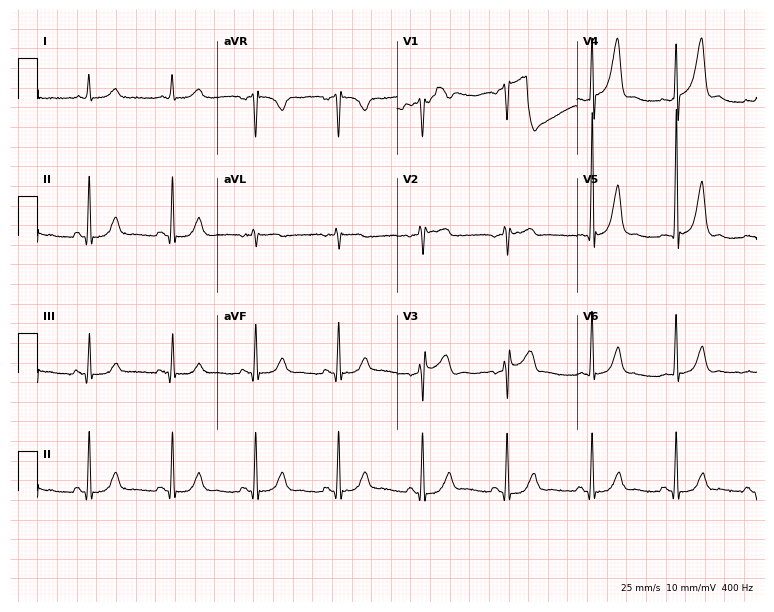
12-lead ECG from a male patient, 62 years old (7.3-second recording at 400 Hz). No first-degree AV block, right bundle branch block (RBBB), left bundle branch block (LBBB), sinus bradycardia, atrial fibrillation (AF) or sinus tachycardia recorded for this tracing.